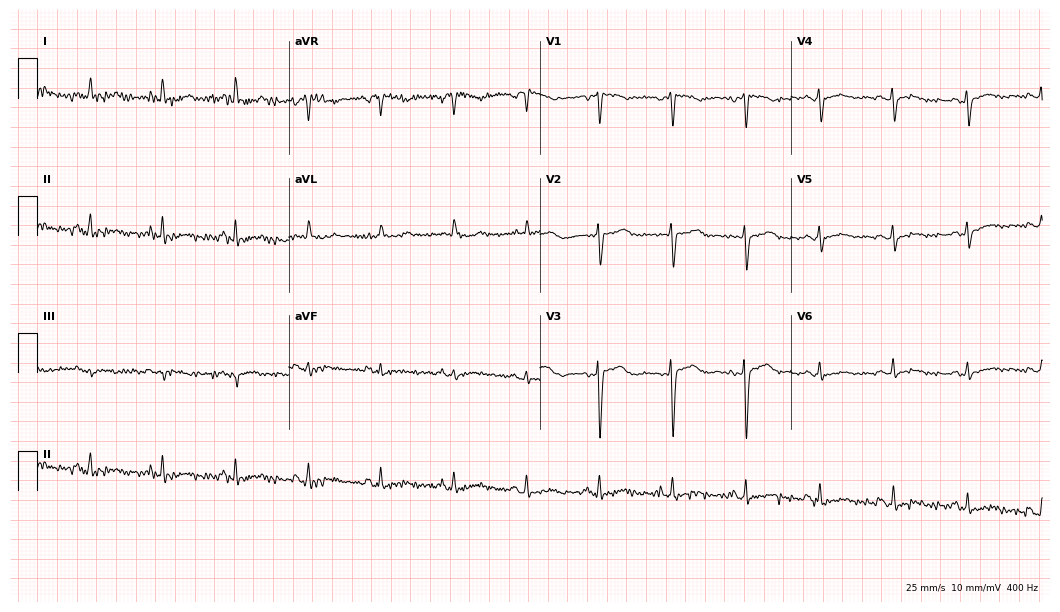
ECG (10.2-second recording at 400 Hz) — a female patient, 45 years old. Screened for six findings — first-degree AV block, right bundle branch block, left bundle branch block, sinus bradycardia, atrial fibrillation, sinus tachycardia — none is recorded. Only these six findings were labelled.